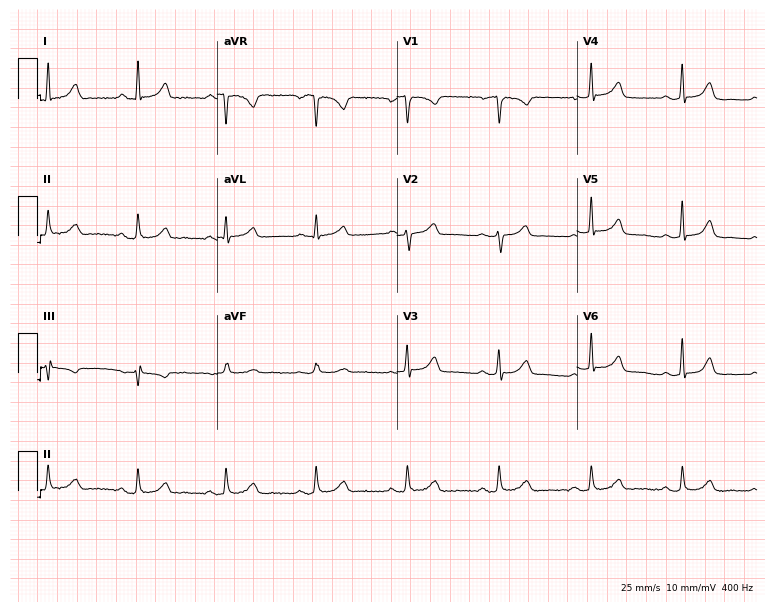
Standard 12-lead ECG recorded from a 49-year-old female (7.3-second recording at 400 Hz). Read as a normal ECG.